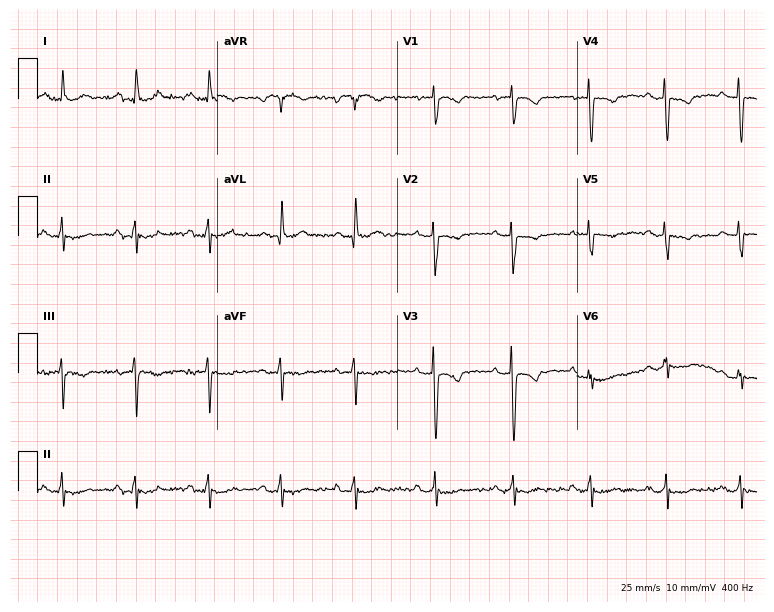
12-lead ECG from a female, 79 years old (7.3-second recording at 400 Hz). No first-degree AV block, right bundle branch block, left bundle branch block, sinus bradycardia, atrial fibrillation or sinus tachycardia recorded for this tracing. Other findings, if any, are not listed.